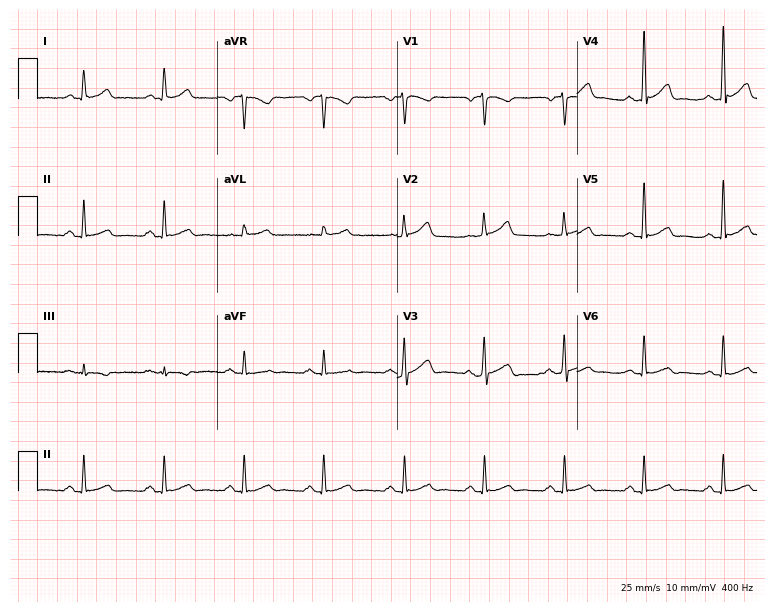
12-lead ECG from a 53-year-old male patient. Recorded interpretation: within normal limits.